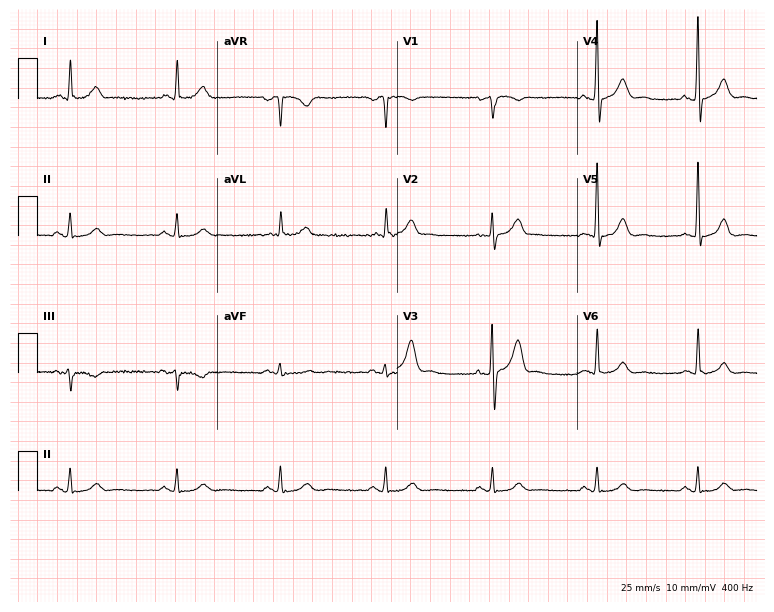
12-lead ECG from a 65-year-old male. Labelled as a normal ECG.